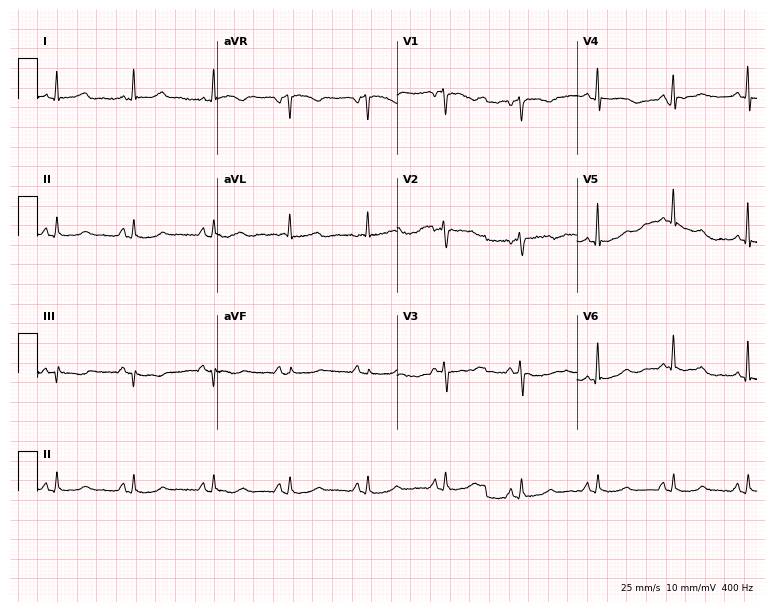
Resting 12-lead electrocardiogram (7.3-second recording at 400 Hz). Patient: a 53-year-old female. None of these six findings is recorded: first-degree AV block, right bundle branch block, left bundle branch block, sinus bradycardia, atrial fibrillation, sinus tachycardia.